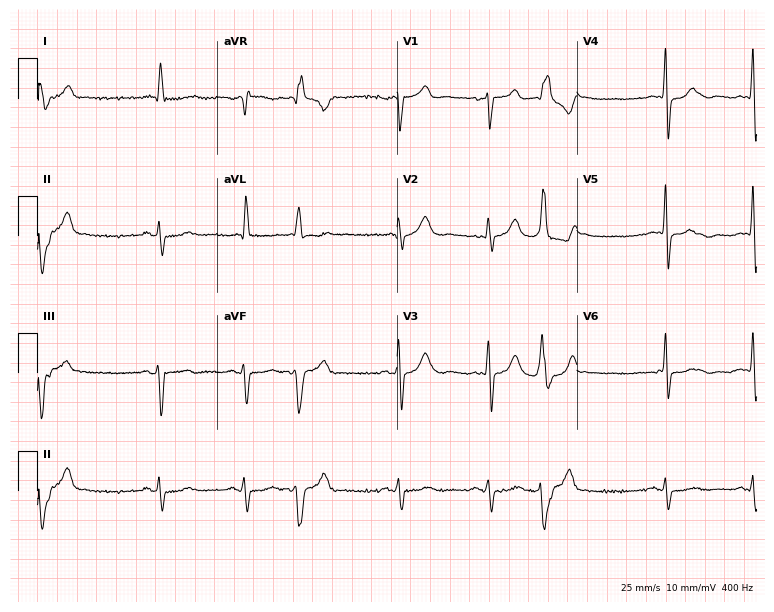
Standard 12-lead ECG recorded from an 82-year-old male. None of these six findings is recorded: first-degree AV block, right bundle branch block (RBBB), left bundle branch block (LBBB), sinus bradycardia, atrial fibrillation (AF), sinus tachycardia.